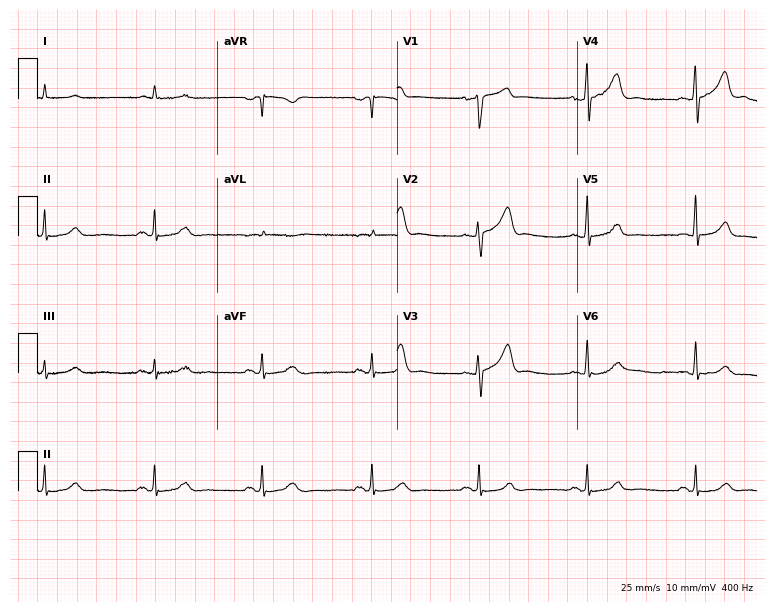
Resting 12-lead electrocardiogram. Patient: a 55-year-old male. Read as a normal ECG.